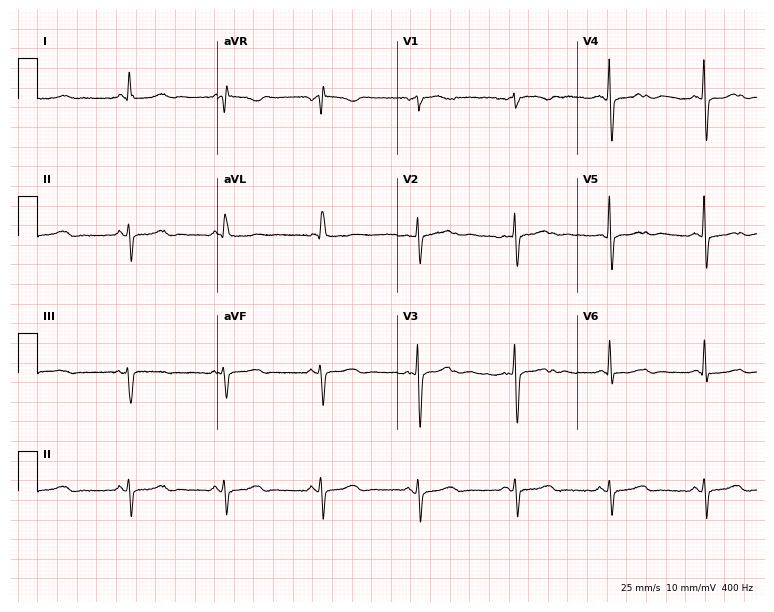
12-lead ECG from a female, 78 years old (7.3-second recording at 400 Hz). No first-degree AV block, right bundle branch block, left bundle branch block, sinus bradycardia, atrial fibrillation or sinus tachycardia recorded for this tracing.